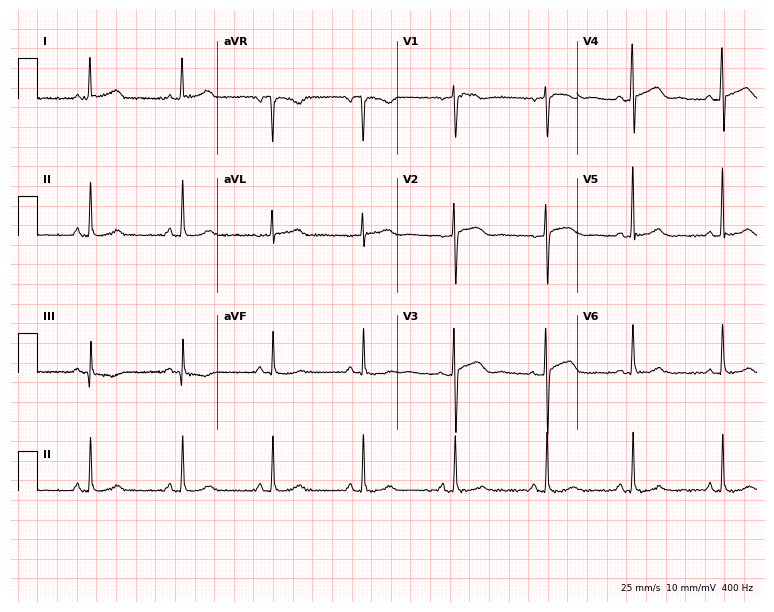
Electrocardiogram (7.3-second recording at 400 Hz), a female, 41 years old. Overall reading on record: normal ECG.